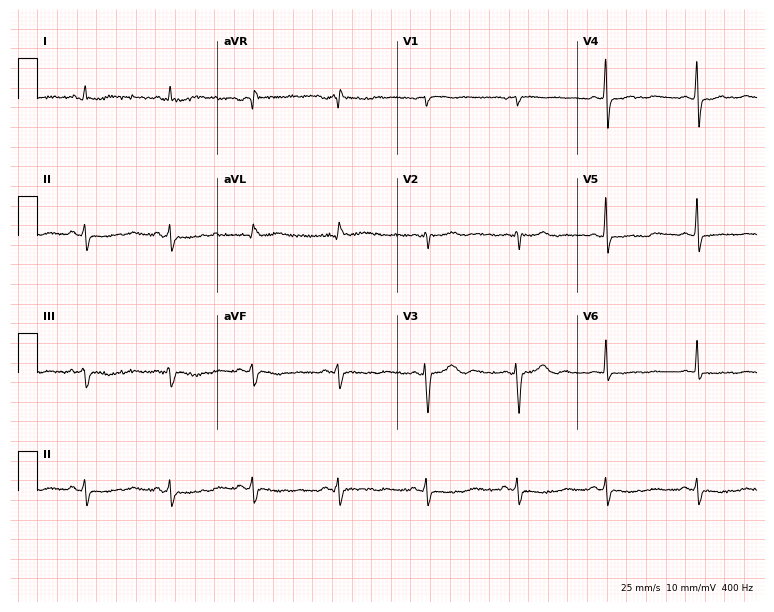
12-lead ECG (7.3-second recording at 400 Hz) from a 33-year-old female patient. Screened for six findings — first-degree AV block, right bundle branch block (RBBB), left bundle branch block (LBBB), sinus bradycardia, atrial fibrillation (AF), sinus tachycardia — none is recorded.